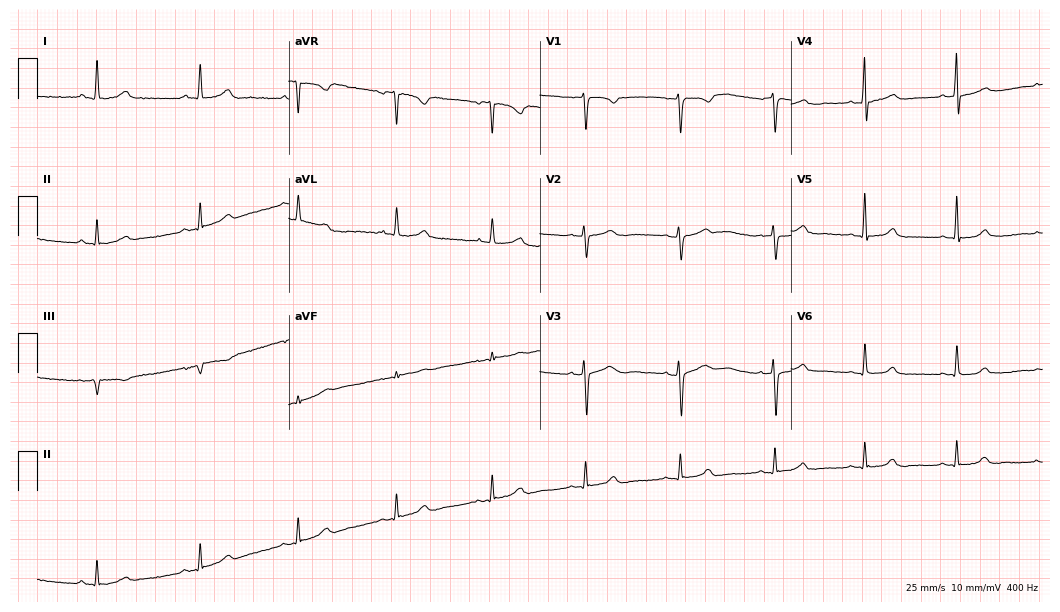
12-lead ECG (10.2-second recording at 400 Hz) from a 43-year-old female. Screened for six findings — first-degree AV block, right bundle branch block, left bundle branch block, sinus bradycardia, atrial fibrillation, sinus tachycardia — none is recorded. Other findings, if any, are not listed.